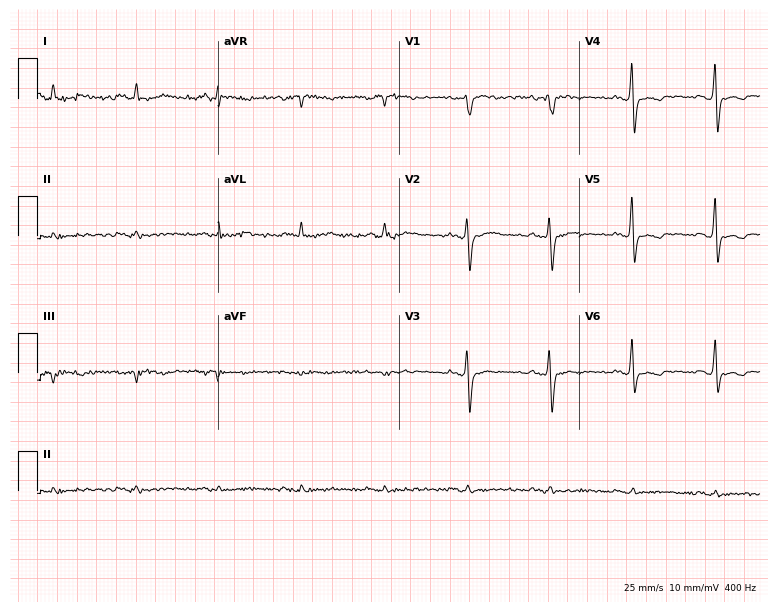
12-lead ECG (7.4-second recording at 400 Hz) from a 55-year-old female. Screened for six findings — first-degree AV block, right bundle branch block, left bundle branch block, sinus bradycardia, atrial fibrillation, sinus tachycardia — none is recorded. Only these six findings were labelled.